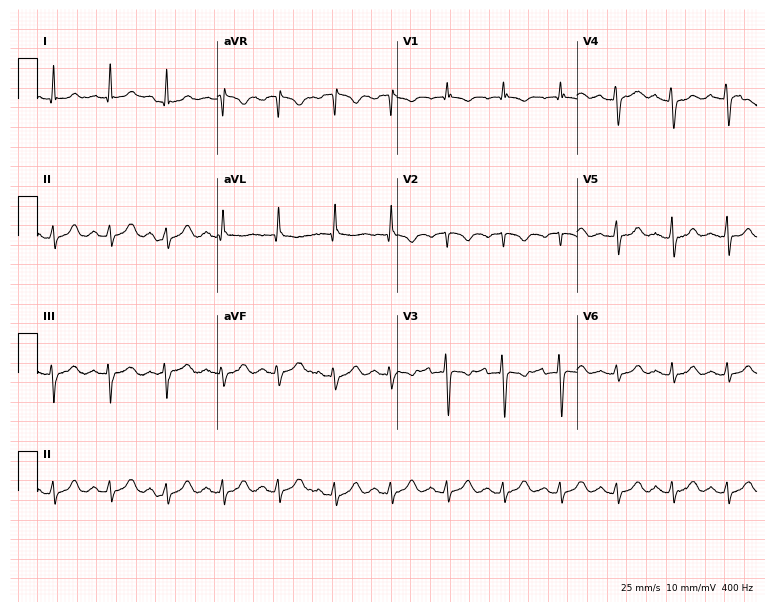
12-lead ECG (7.3-second recording at 400 Hz) from a 52-year-old female patient. Screened for six findings — first-degree AV block, right bundle branch block, left bundle branch block, sinus bradycardia, atrial fibrillation, sinus tachycardia — none is recorded.